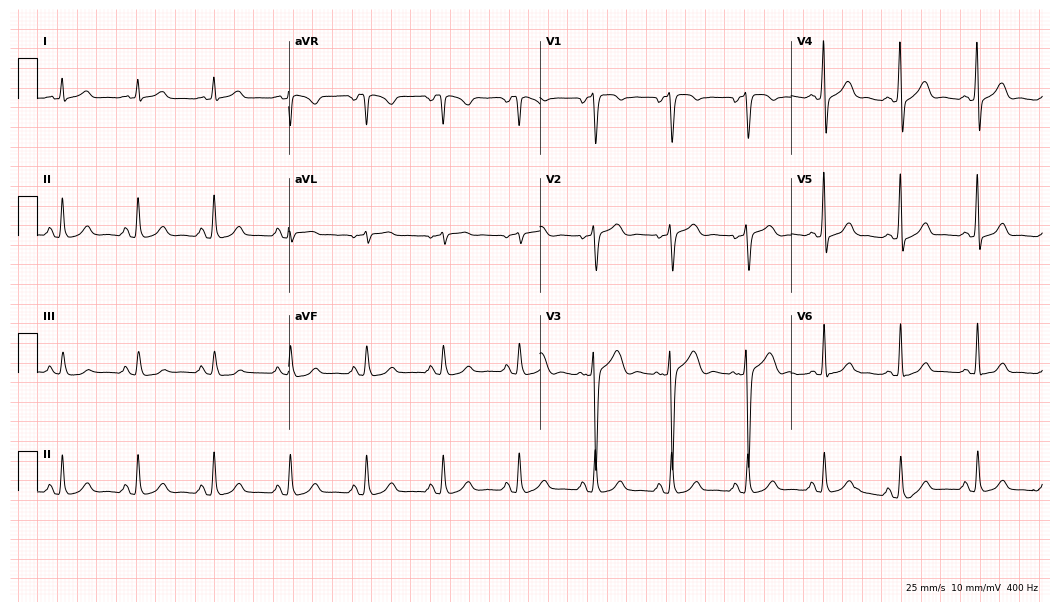
12-lead ECG (10.2-second recording at 400 Hz) from a man, 57 years old. Labelled as a normal ECG.